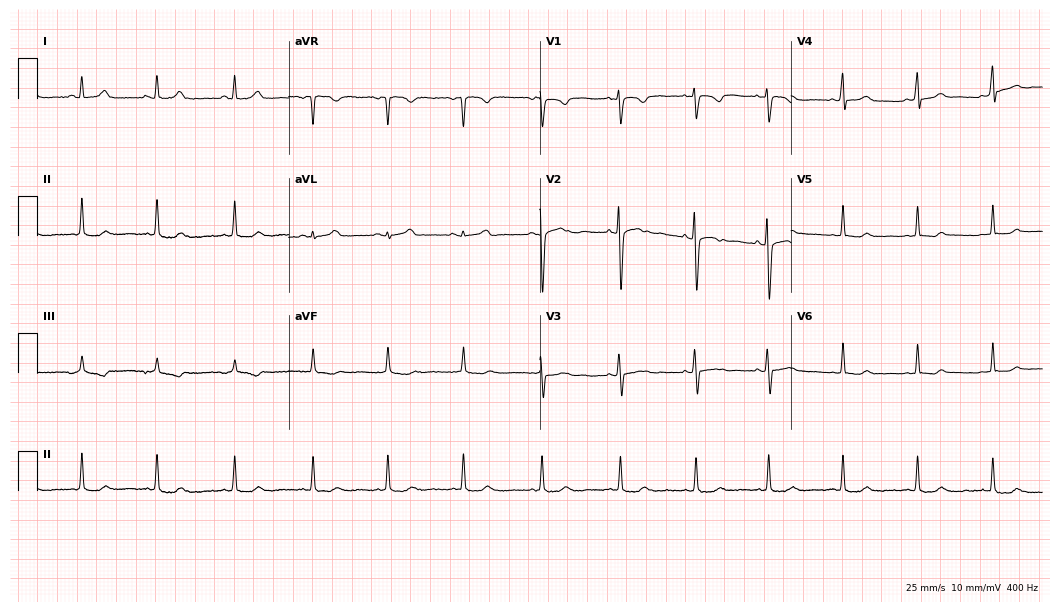
12-lead ECG from a male, 22 years old (10.2-second recording at 400 Hz). No first-degree AV block, right bundle branch block, left bundle branch block, sinus bradycardia, atrial fibrillation or sinus tachycardia recorded for this tracing.